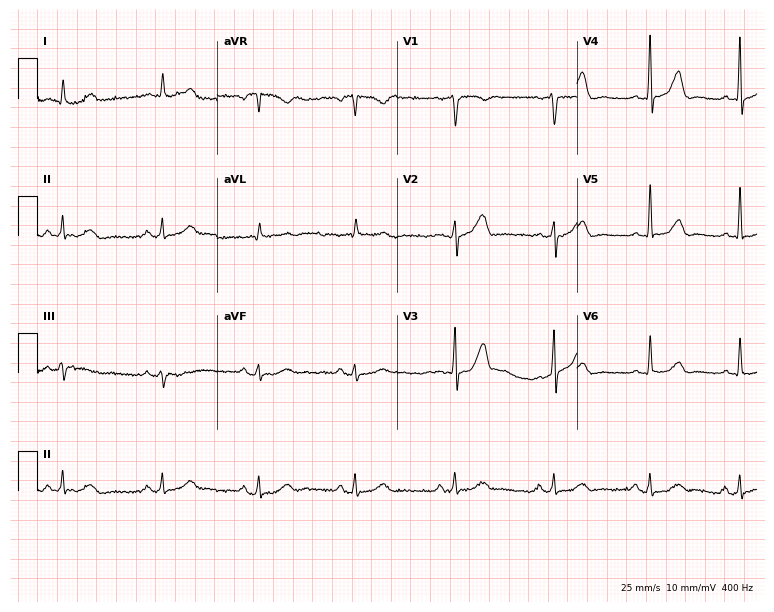
12-lead ECG from a man, 73 years old (7.3-second recording at 400 Hz). No first-degree AV block, right bundle branch block, left bundle branch block, sinus bradycardia, atrial fibrillation or sinus tachycardia recorded for this tracing.